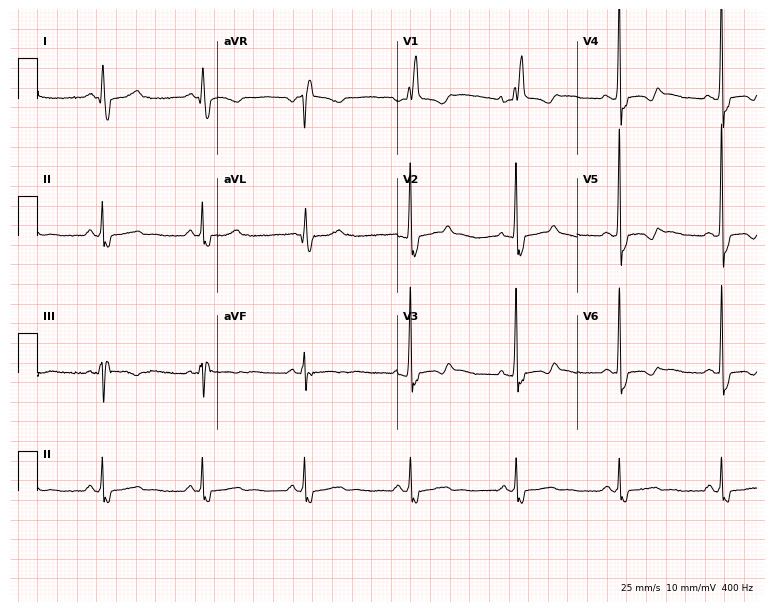
Standard 12-lead ECG recorded from a 59-year-old woman. The tracing shows right bundle branch block (RBBB).